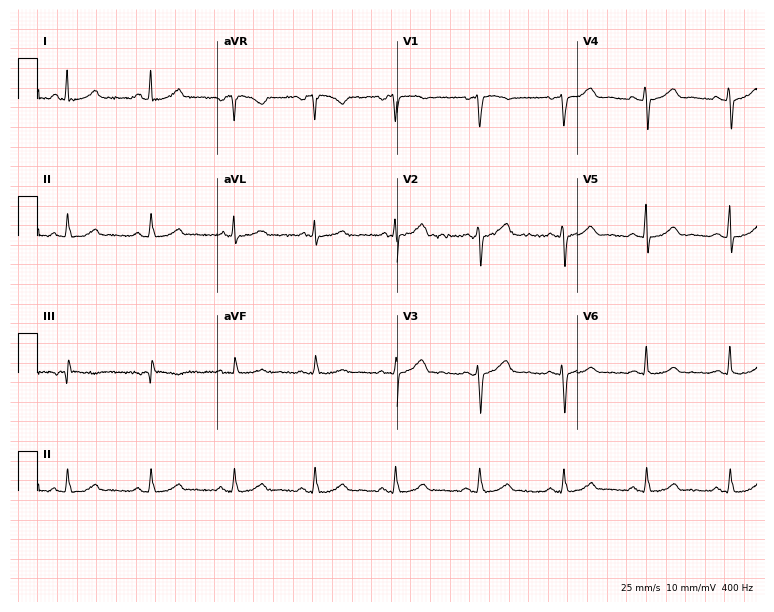
Electrocardiogram (7.3-second recording at 400 Hz), a 49-year-old female patient. Overall reading on record: normal ECG.